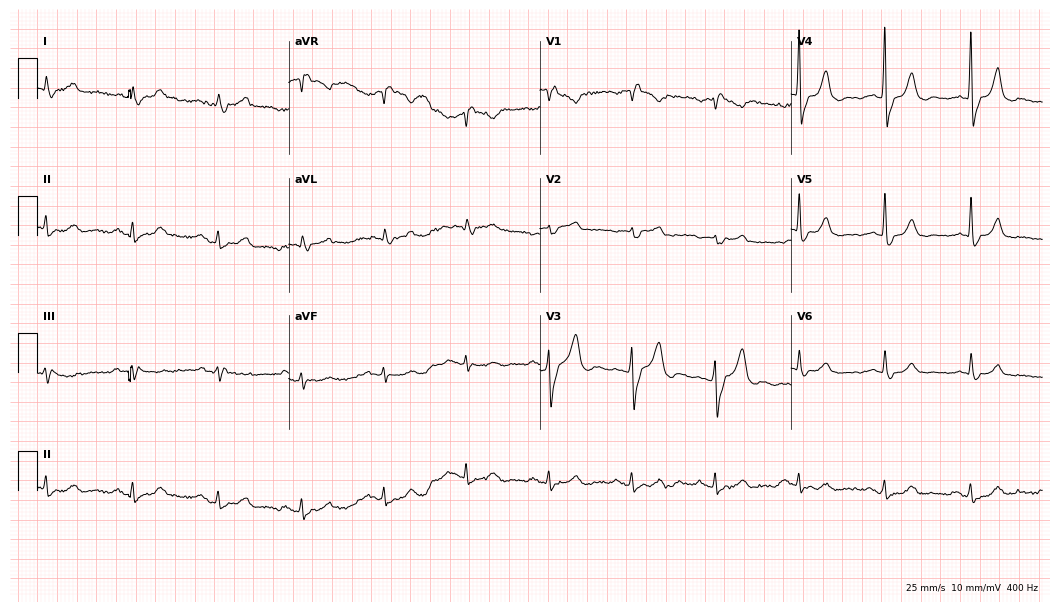
Standard 12-lead ECG recorded from an 84-year-old male (10.2-second recording at 400 Hz). The tracing shows right bundle branch block.